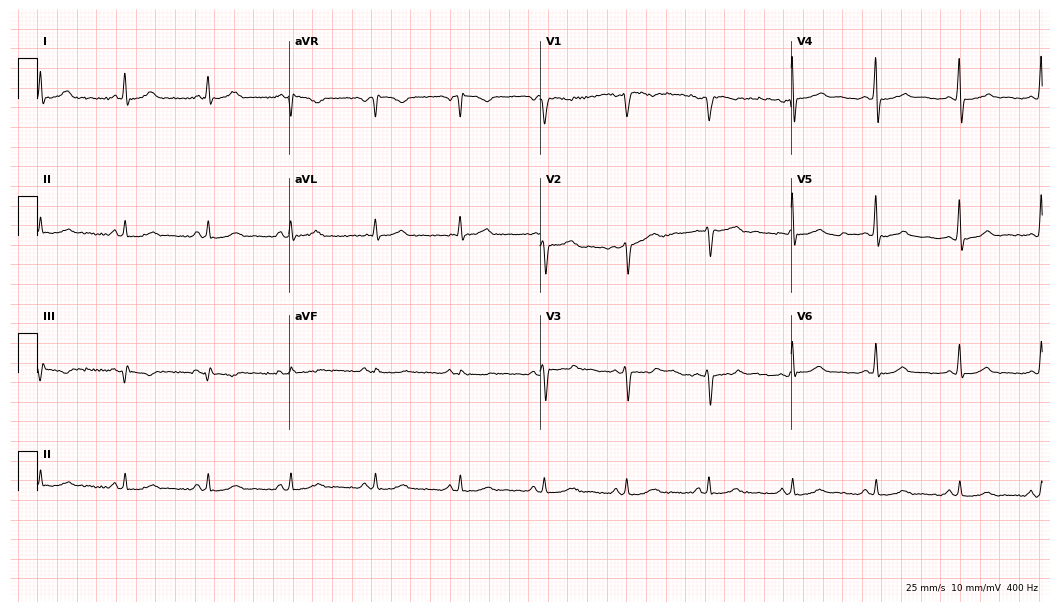
Resting 12-lead electrocardiogram (10.2-second recording at 400 Hz). Patient: a 52-year-old man. None of these six findings is recorded: first-degree AV block, right bundle branch block (RBBB), left bundle branch block (LBBB), sinus bradycardia, atrial fibrillation (AF), sinus tachycardia. Other findings, if any, are not listed.